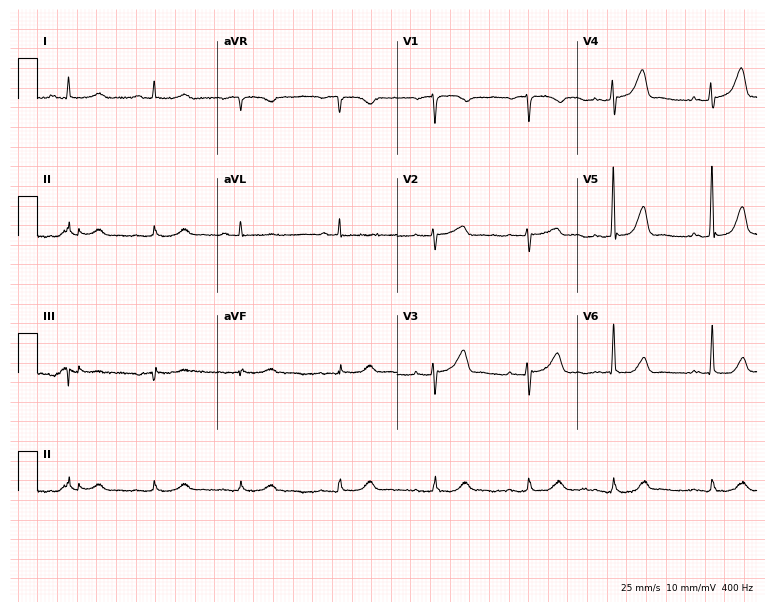
Electrocardiogram, a female patient, 79 years old. Overall reading on record: normal ECG.